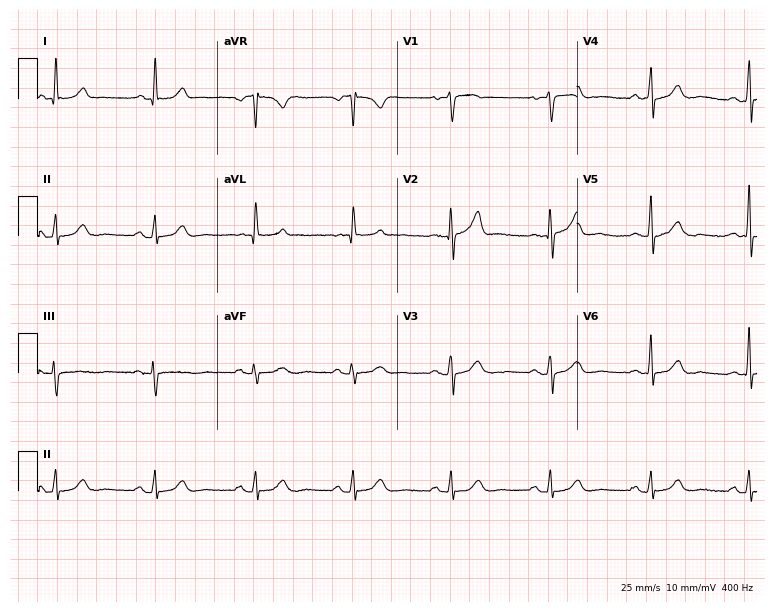
Resting 12-lead electrocardiogram (7.3-second recording at 400 Hz). Patient: a 72-year-old female. None of these six findings is recorded: first-degree AV block, right bundle branch block, left bundle branch block, sinus bradycardia, atrial fibrillation, sinus tachycardia.